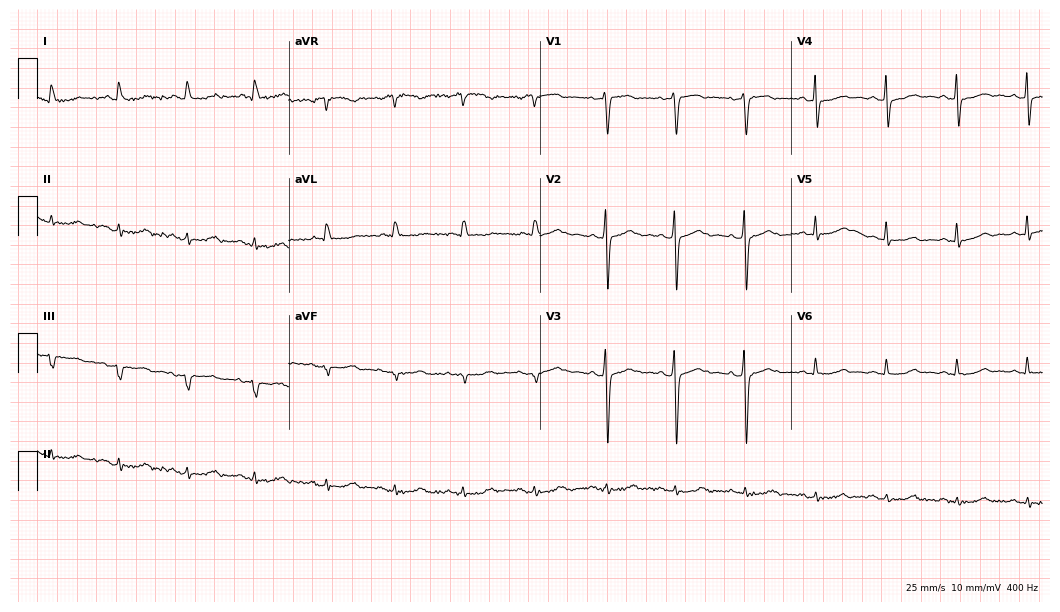
12-lead ECG from a female patient, 47 years old (10.2-second recording at 400 Hz). No first-degree AV block, right bundle branch block, left bundle branch block, sinus bradycardia, atrial fibrillation or sinus tachycardia recorded for this tracing.